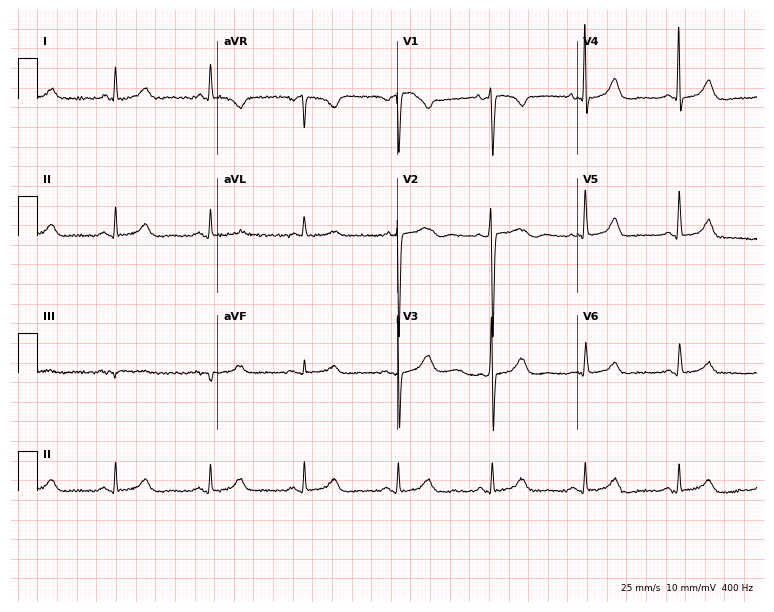
Resting 12-lead electrocardiogram. Patient: a woman, 79 years old. Read as a normal ECG.